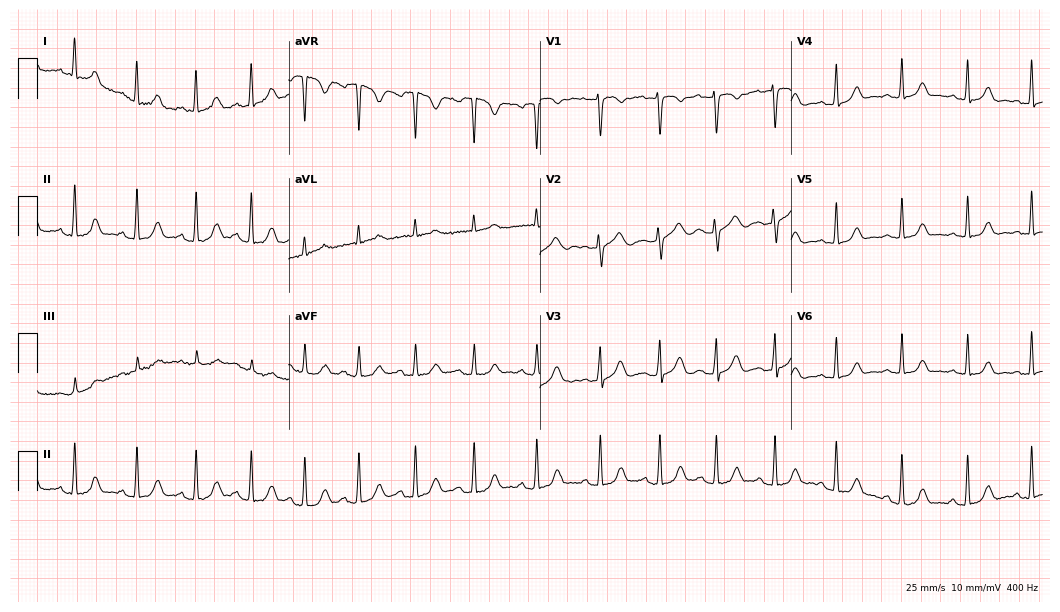
ECG — a woman, 25 years old. Screened for six findings — first-degree AV block, right bundle branch block (RBBB), left bundle branch block (LBBB), sinus bradycardia, atrial fibrillation (AF), sinus tachycardia — none is recorded.